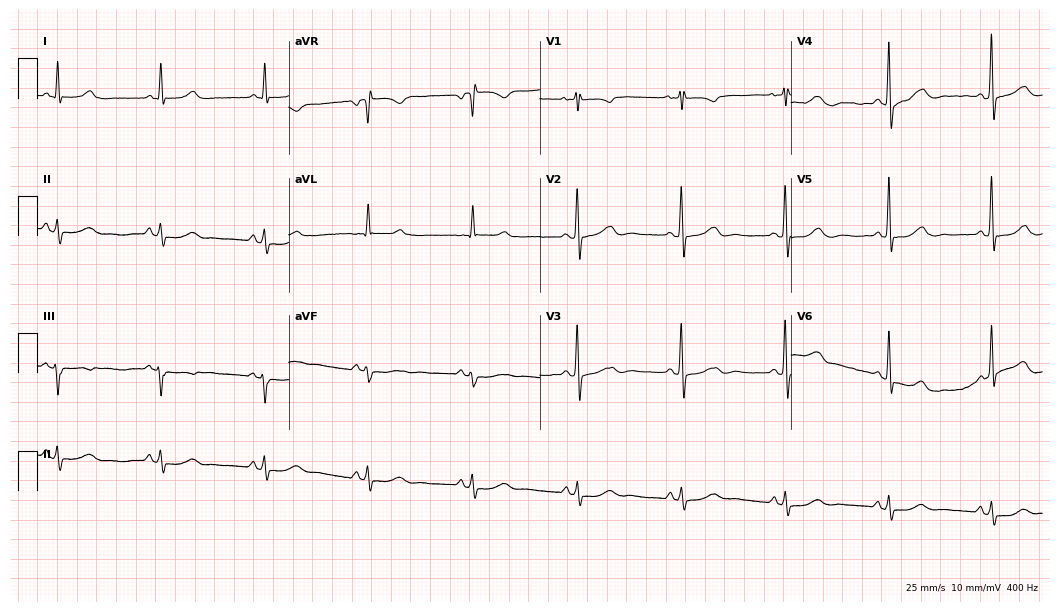
12-lead ECG from a 73-year-old woman (10.2-second recording at 400 Hz). Recorded interpretation: within normal limits.